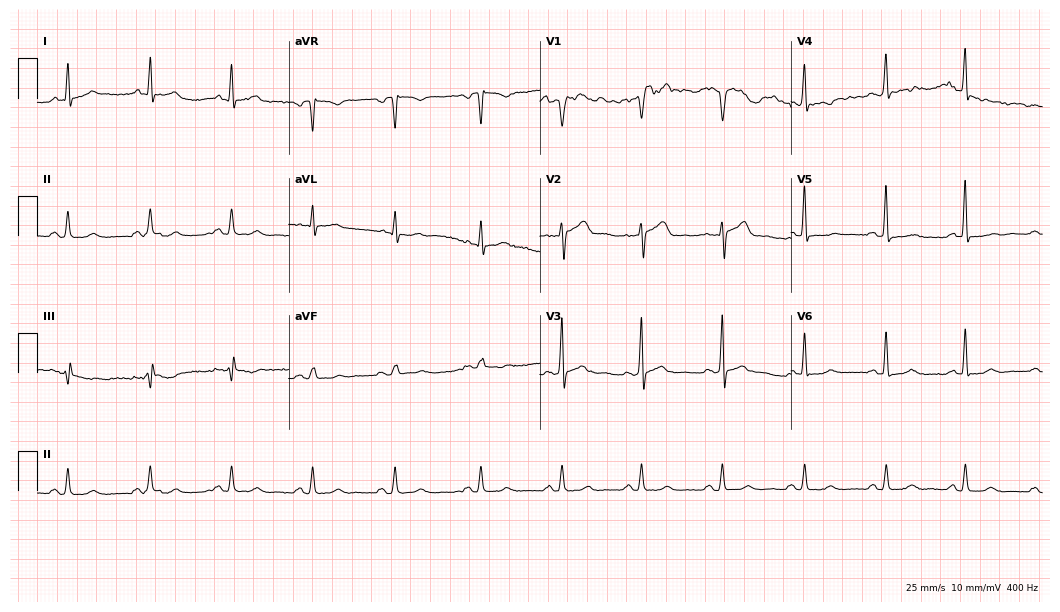
ECG — a male patient, 67 years old. Screened for six findings — first-degree AV block, right bundle branch block (RBBB), left bundle branch block (LBBB), sinus bradycardia, atrial fibrillation (AF), sinus tachycardia — none is recorded. Only these six findings were labelled.